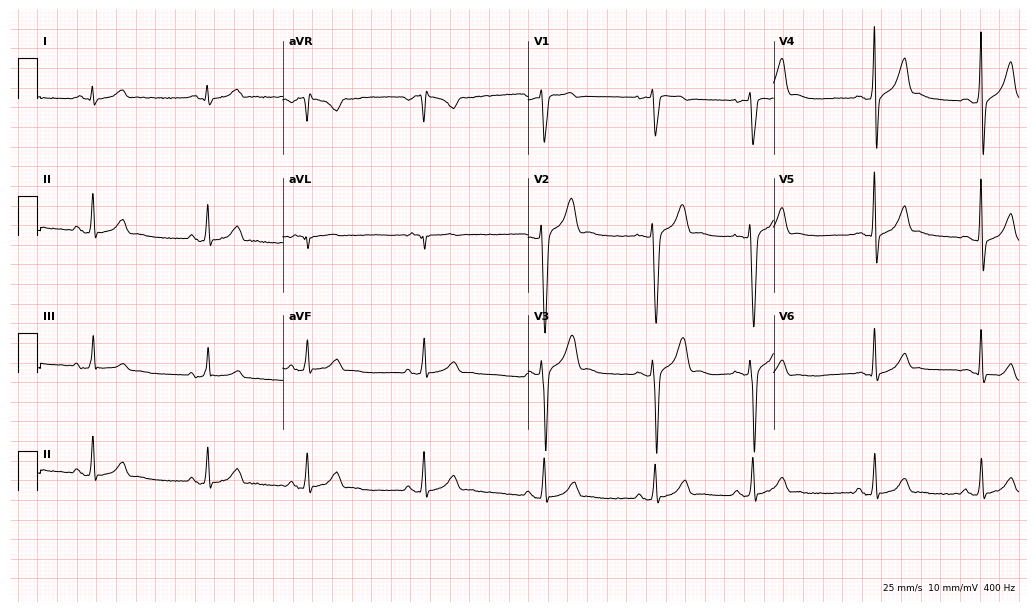
Resting 12-lead electrocardiogram (10-second recording at 400 Hz). Patient: a male, 26 years old. Read as a normal ECG.